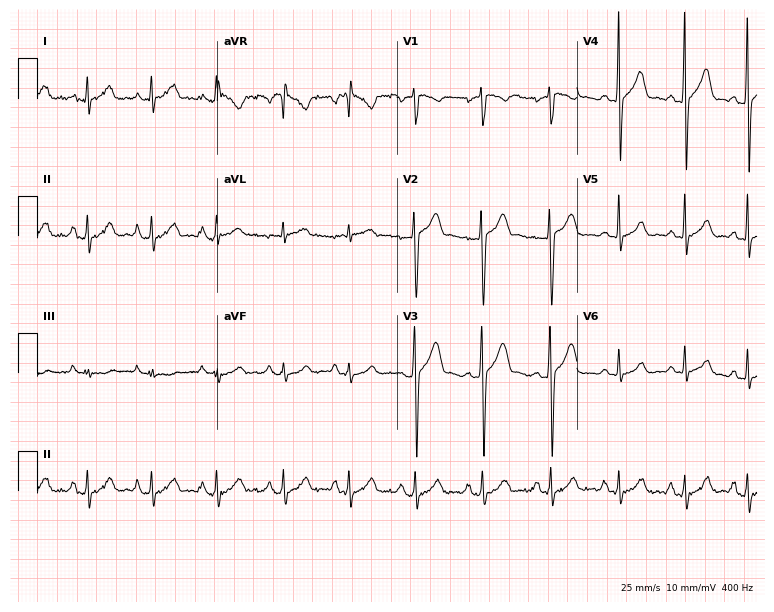
Resting 12-lead electrocardiogram. Patient: a 31-year-old man. None of these six findings is recorded: first-degree AV block, right bundle branch block (RBBB), left bundle branch block (LBBB), sinus bradycardia, atrial fibrillation (AF), sinus tachycardia. Only these six findings were labelled.